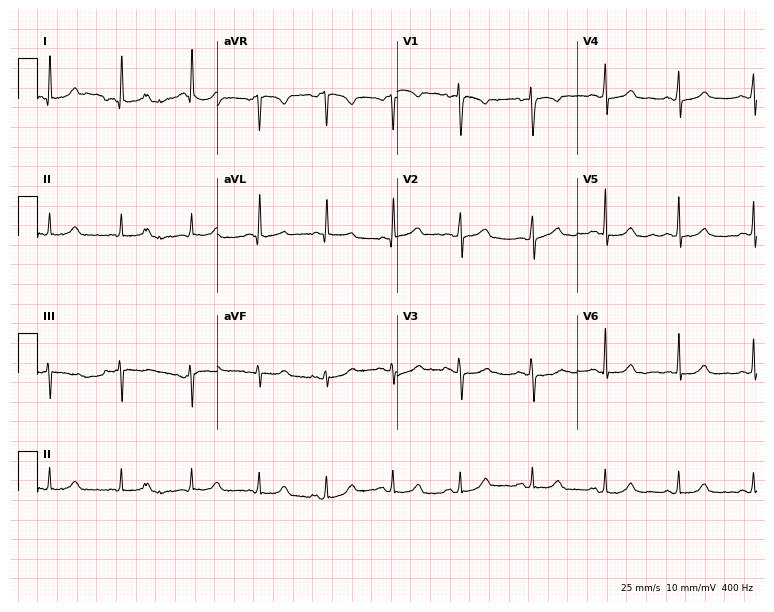
12-lead ECG (7.3-second recording at 400 Hz) from a female patient, 31 years old. Screened for six findings — first-degree AV block, right bundle branch block, left bundle branch block, sinus bradycardia, atrial fibrillation, sinus tachycardia — none is recorded. Findings outside these six are not listed.